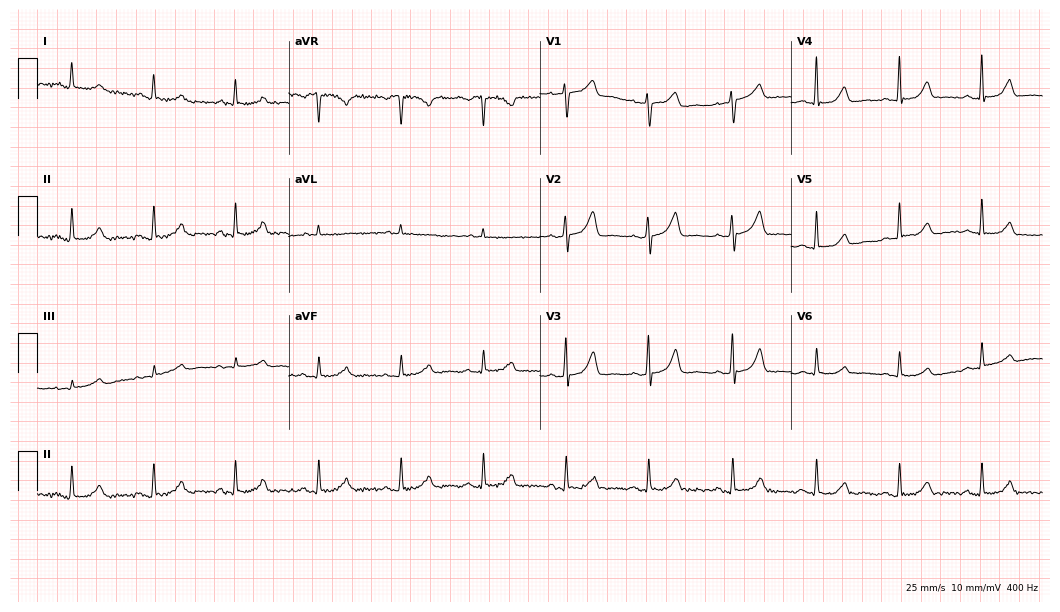
12-lead ECG from a 56-year-old female patient. Recorded interpretation: within normal limits.